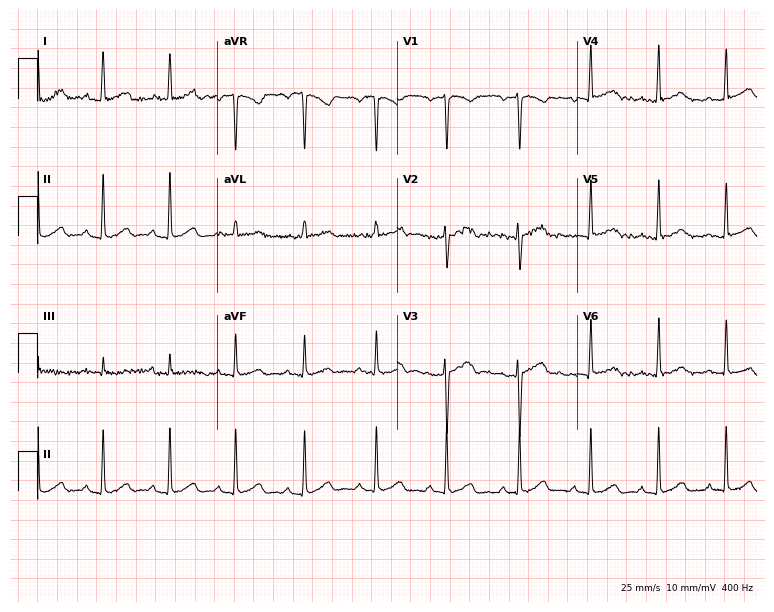
Standard 12-lead ECG recorded from a 27-year-old female patient (7.3-second recording at 400 Hz). None of these six findings is recorded: first-degree AV block, right bundle branch block (RBBB), left bundle branch block (LBBB), sinus bradycardia, atrial fibrillation (AF), sinus tachycardia.